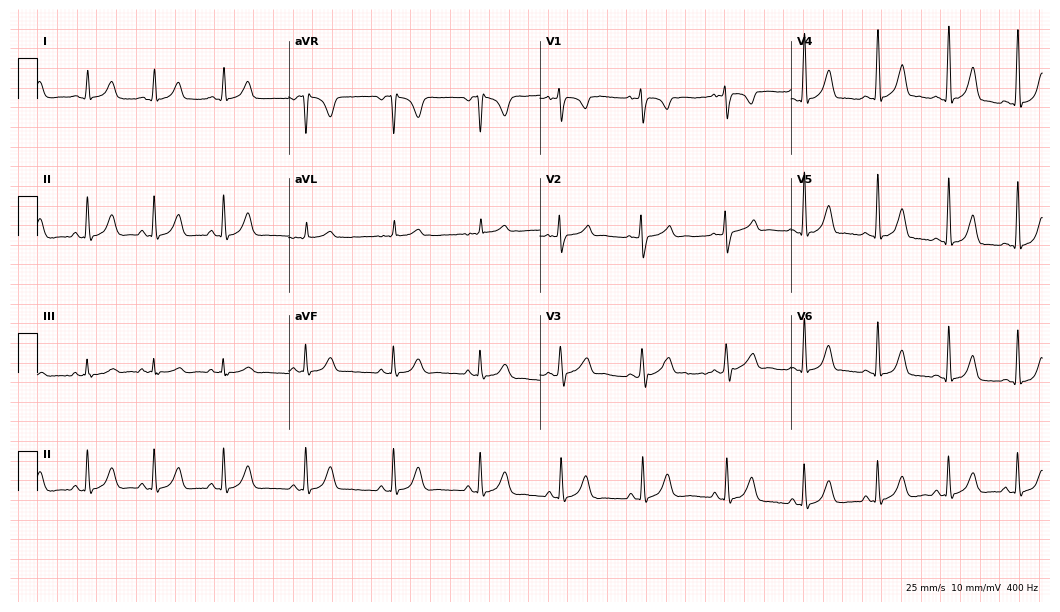
12-lead ECG from a female, 19 years old. Labelled as a normal ECG.